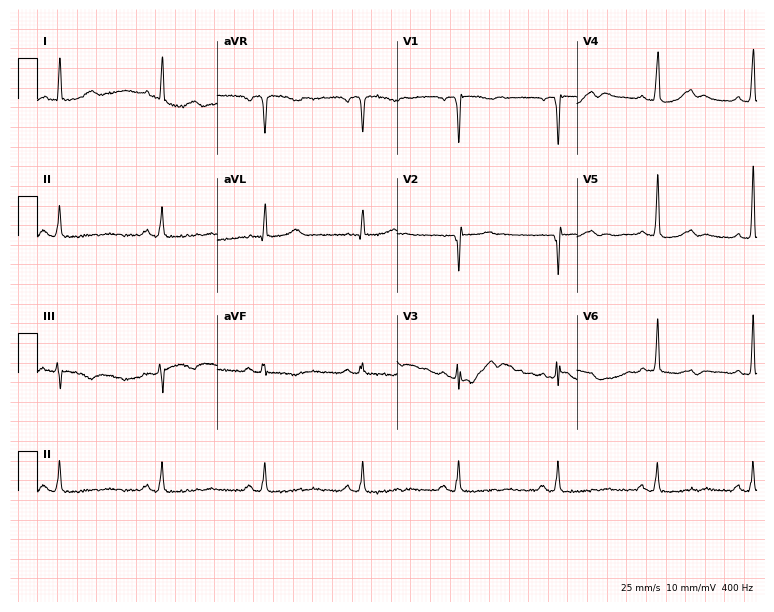
ECG (7.3-second recording at 400 Hz) — a woman, 52 years old. Screened for six findings — first-degree AV block, right bundle branch block, left bundle branch block, sinus bradycardia, atrial fibrillation, sinus tachycardia — none is recorded.